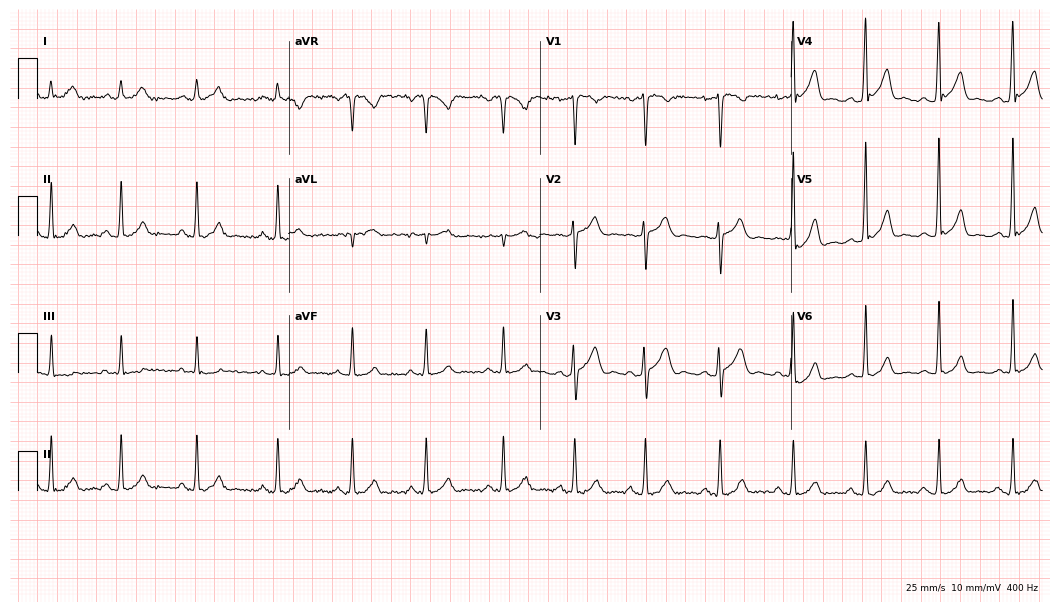
Resting 12-lead electrocardiogram. Patient: a male, 22 years old. None of these six findings is recorded: first-degree AV block, right bundle branch block, left bundle branch block, sinus bradycardia, atrial fibrillation, sinus tachycardia.